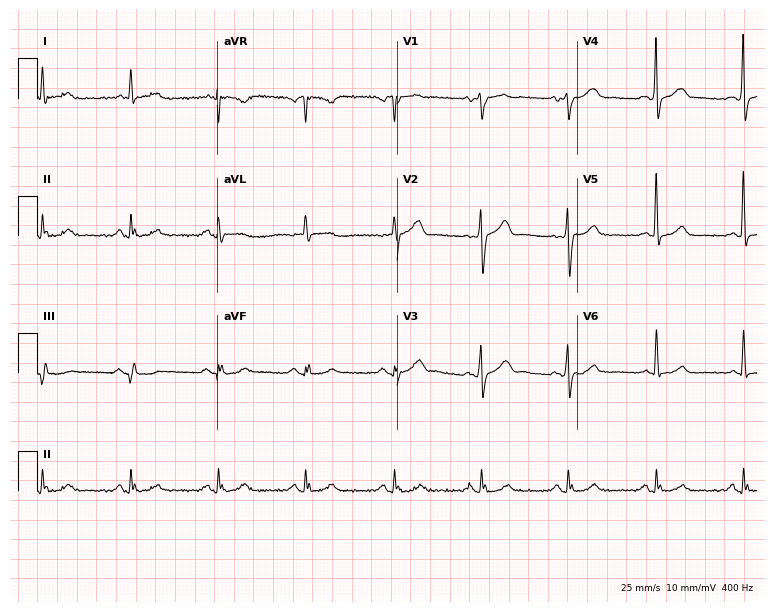
Standard 12-lead ECG recorded from a 54-year-old male patient. None of these six findings is recorded: first-degree AV block, right bundle branch block, left bundle branch block, sinus bradycardia, atrial fibrillation, sinus tachycardia. Other findings, if any, are not listed.